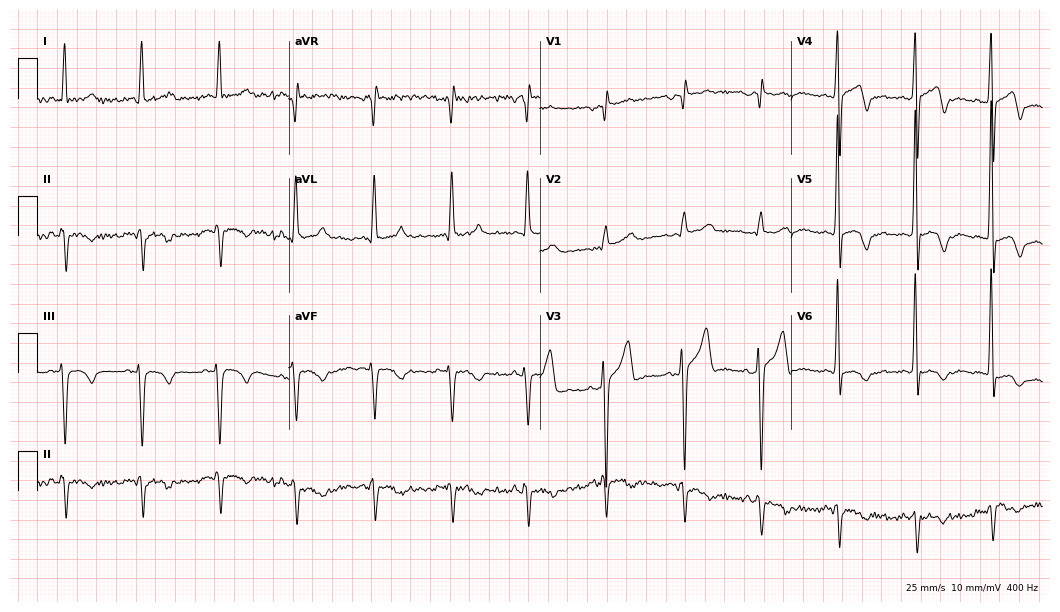
ECG — a man, 51 years old. Screened for six findings — first-degree AV block, right bundle branch block, left bundle branch block, sinus bradycardia, atrial fibrillation, sinus tachycardia — none is recorded.